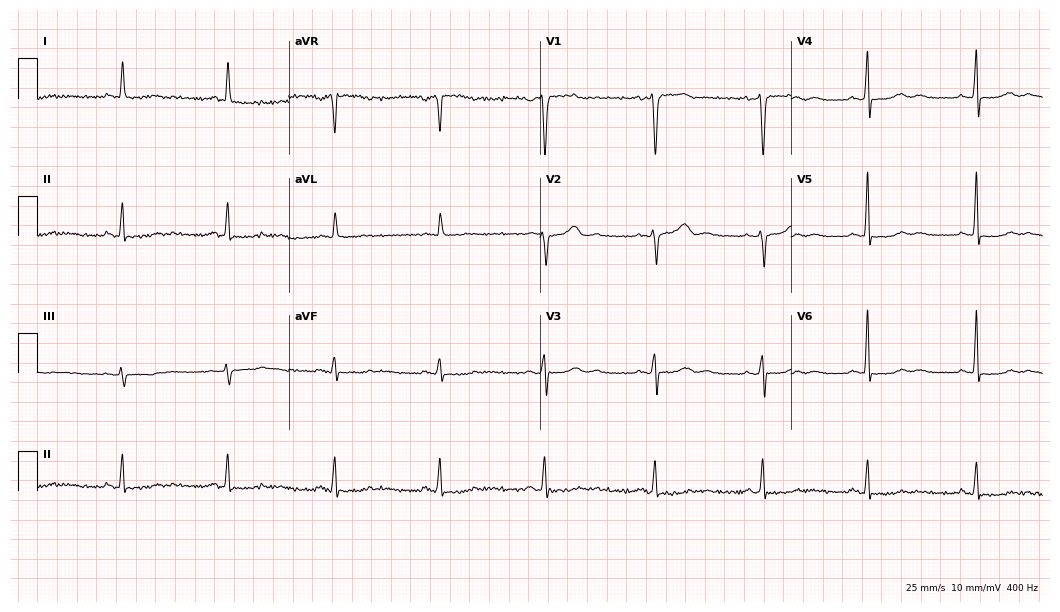
ECG — a 60-year-old female patient. Screened for six findings — first-degree AV block, right bundle branch block, left bundle branch block, sinus bradycardia, atrial fibrillation, sinus tachycardia — none is recorded.